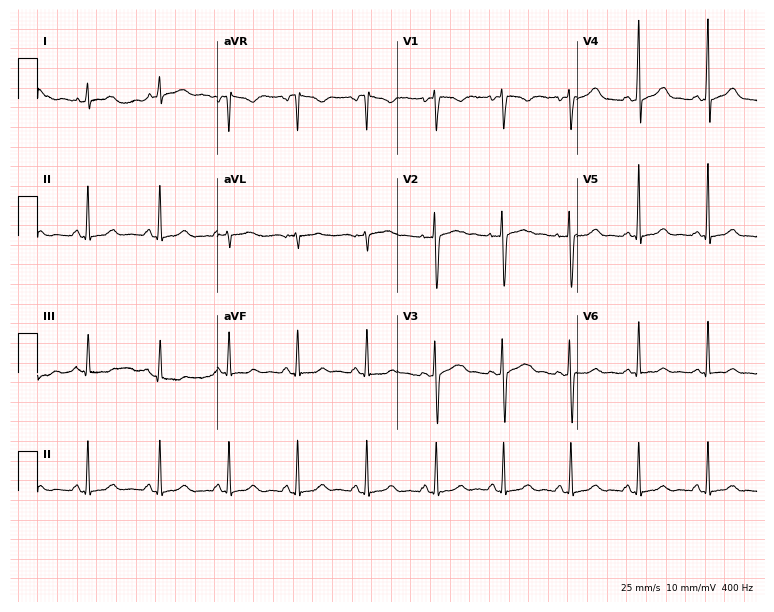
Electrocardiogram (7.3-second recording at 400 Hz), a female, 29 years old. Overall reading on record: normal ECG.